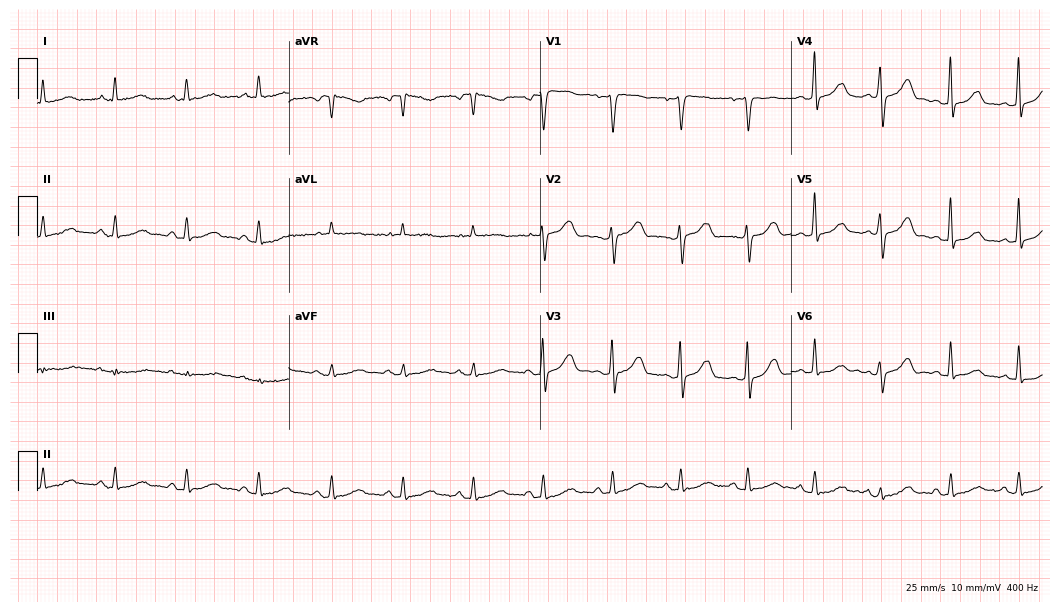
Resting 12-lead electrocardiogram. Patient: a 63-year-old female. Read as a normal ECG.